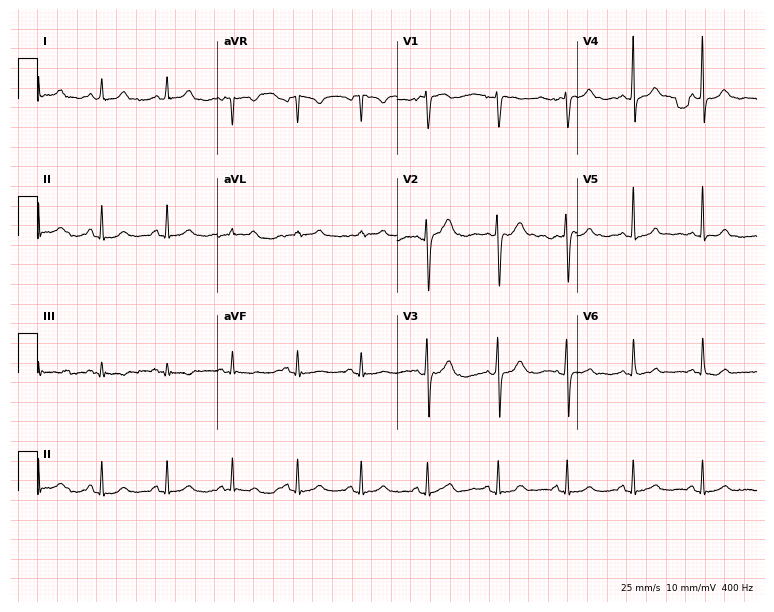
Standard 12-lead ECG recorded from a female patient, 33 years old (7.3-second recording at 400 Hz). None of these six findings is recorded: first-degree AV block, right bundle branch block, left bundle branch block, sinus bradycardia, atrial fibrillation, sinus tachycardia.